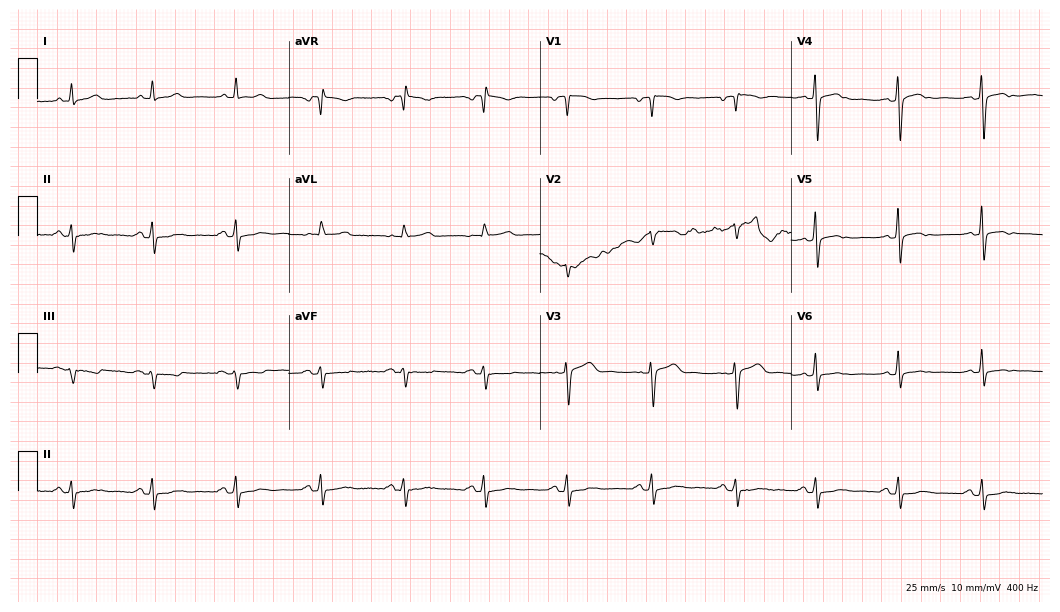
12-lead ECG from a female patient, 61 years old. No first-degree AV block, right bundle branch block (RBBB), left bundle branch block (LBBB), sinus bradycardia, atrial fibrillation (AF) or sinus tachycardia recorded for this tracing. Only these six findings were labelled.